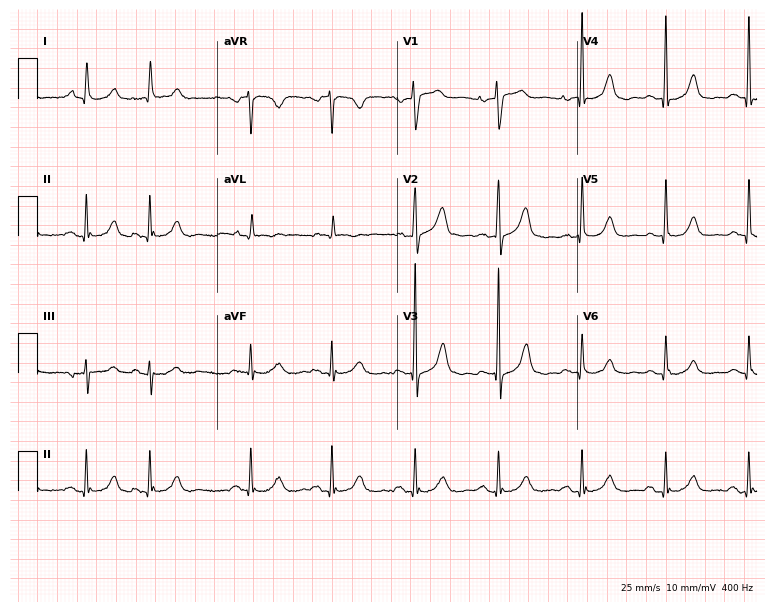
Electrocardiogram, a woman, 86 years old. Overall reading on record: normal ECG.